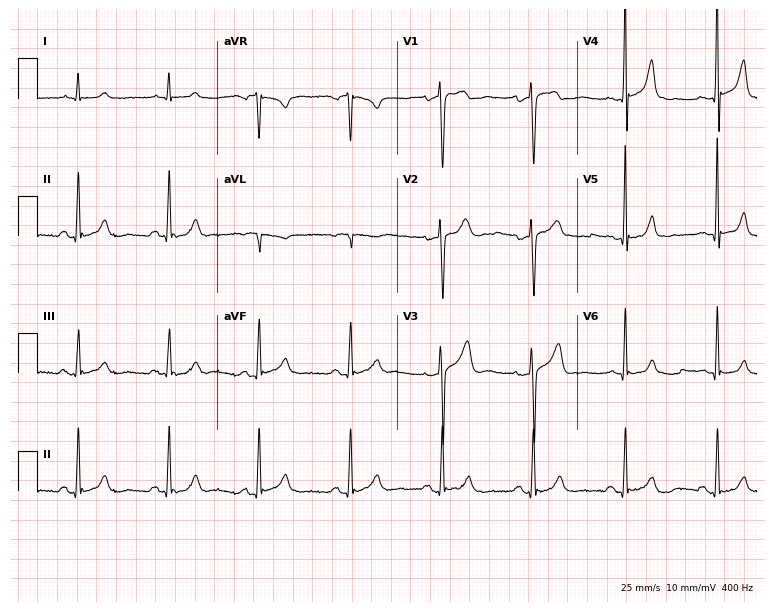
12-lead ECG from a 74-year-old man (7.3-second recording at 400 Hz). No first-degree AV block, right bundle branch block (RBBB), left bundle branch block (LBBB), sinus bradycardia, atrial fibrillation (AF) or sinus tachycardia recorded for this tracing.